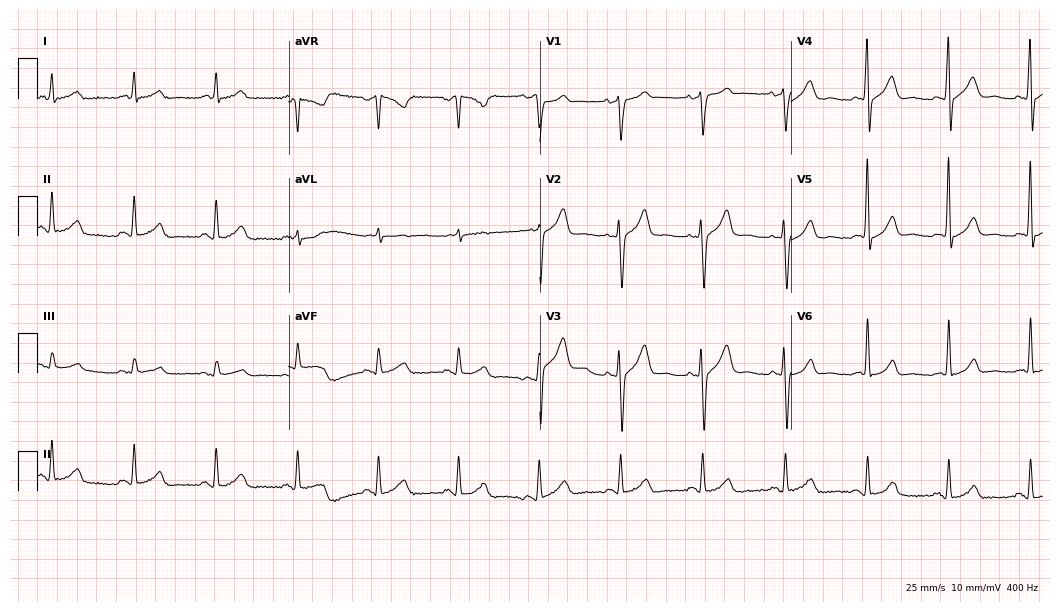
12-lead ECG (10.2-second recording at 400 Hz) from a man, 54 years old. Labelled as a normal ECG.